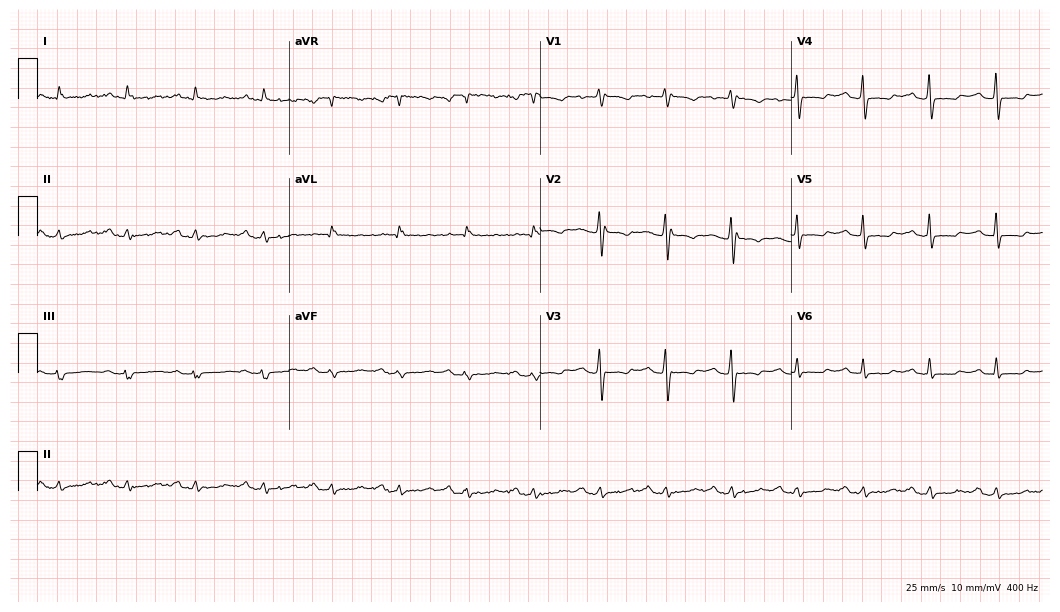
12-lead ECG (10.2-second recording at 400 Hz) from an 81-year-old man. Findings include first-degree AV block.